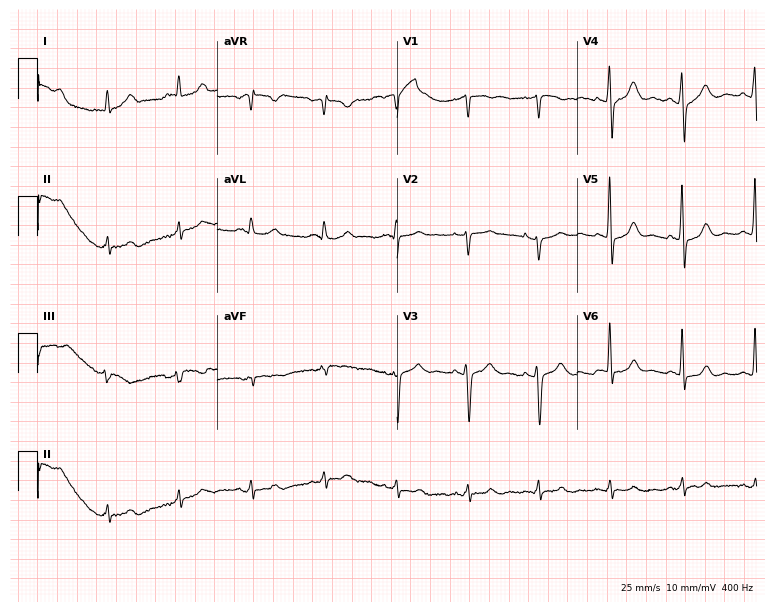
Resting 12-lead electrocardiogram. Patient: a 48-year-old female. Read as a normal ECG.